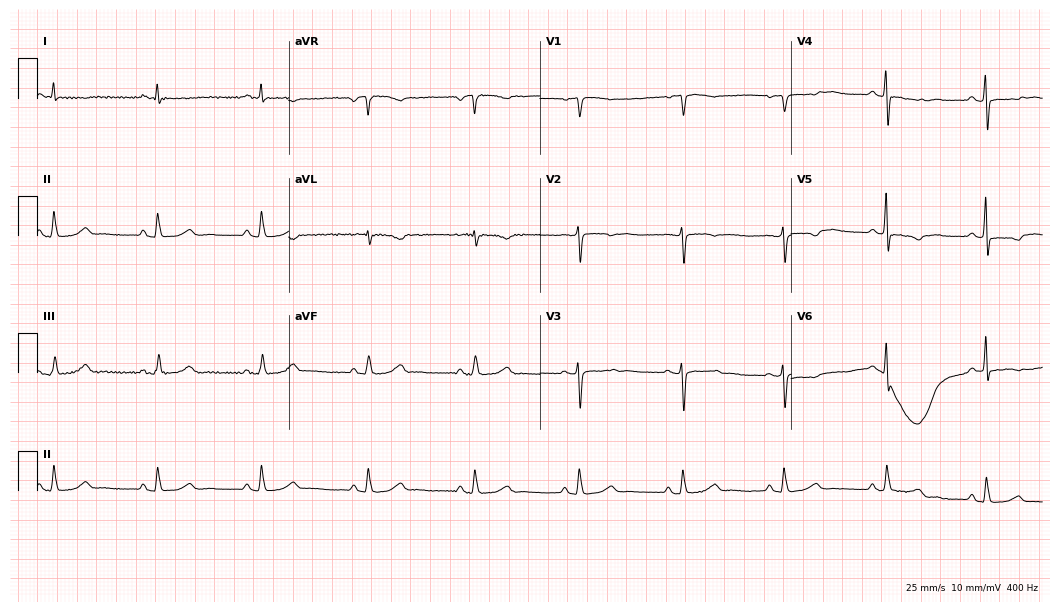
Standard 12-lead ECG recorded from a 65-year-old woman. None of these six findings is recorded: first-degree AV block, right bundle branch block (RBBB), left bundle branch block (LBBB), sinus bradycardia, atrial fibrillation (AF), sinus tachycardia. Other findings, if any, are not listed.